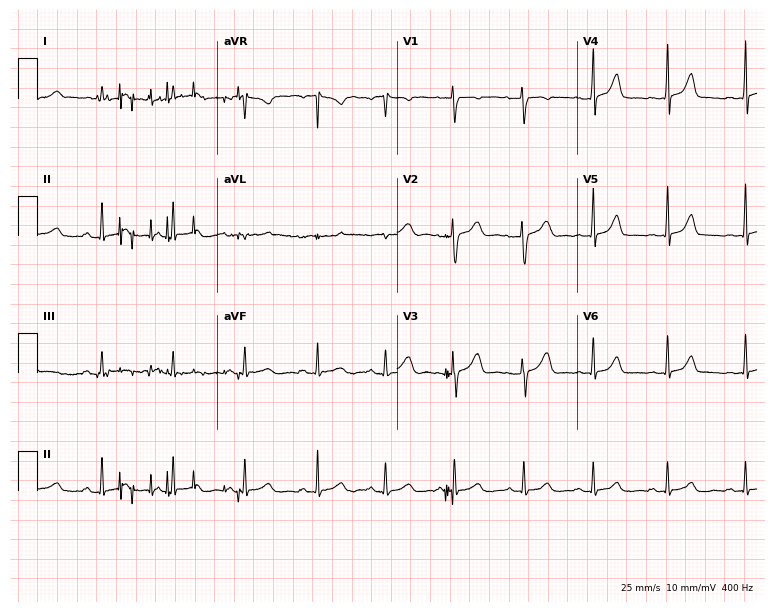
12-lead ECG from a female, 23 years old (7.3-second recording at 400 Hz). No first-degree AV block, right bundle branch block (RBBB), left bundle branch block (LBBB), sinus bradycardia, atrial fibrillation (AF) or sinus tachycardia recorded for this tracing.